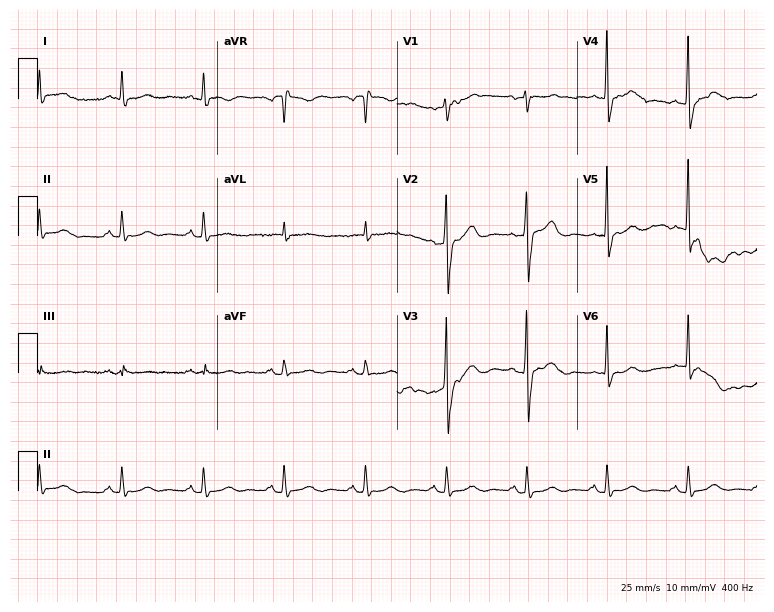
Electrocardiogram (7.3-second recording at 400 Hz), a male patient, 76 years old. Overall reading on record: normal ECG.